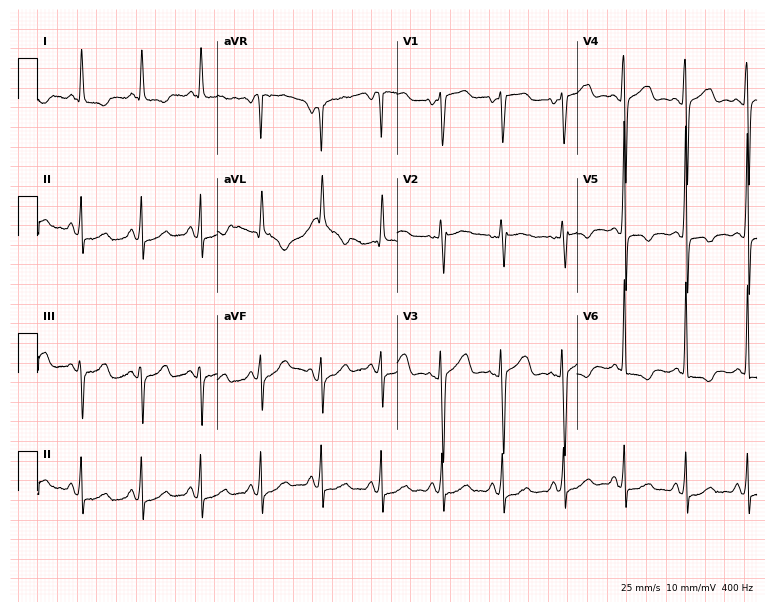
12-lead ECG from a 55-year-old female patient. No first-degree AV block, right bundle branch block, left bundle branch block, sinus bradycardia, atrial fibrillation or sinus tachycardia recorded for this tracing. Only these six findings were labelled.